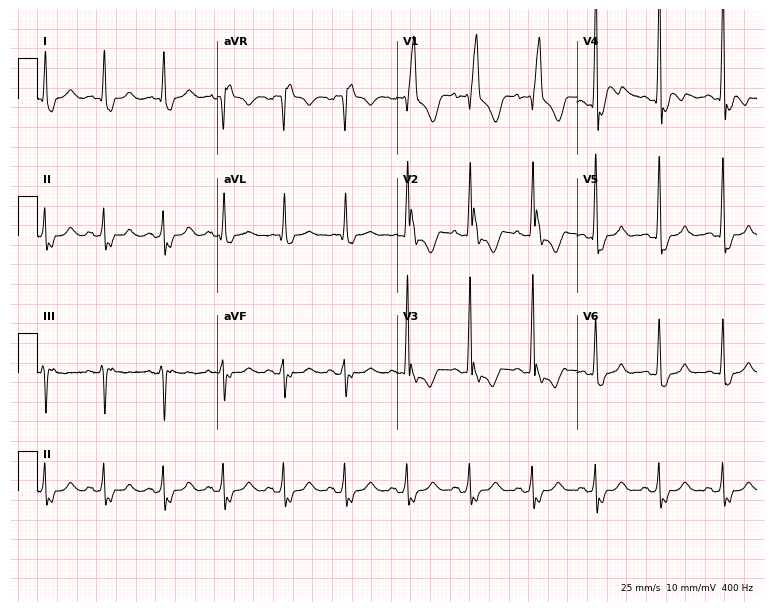
Standard 12-lead ECG recorded from a 46-year-old male patient (7.3-second recording at 400 Hz). The tracing shows right bundle branch block.